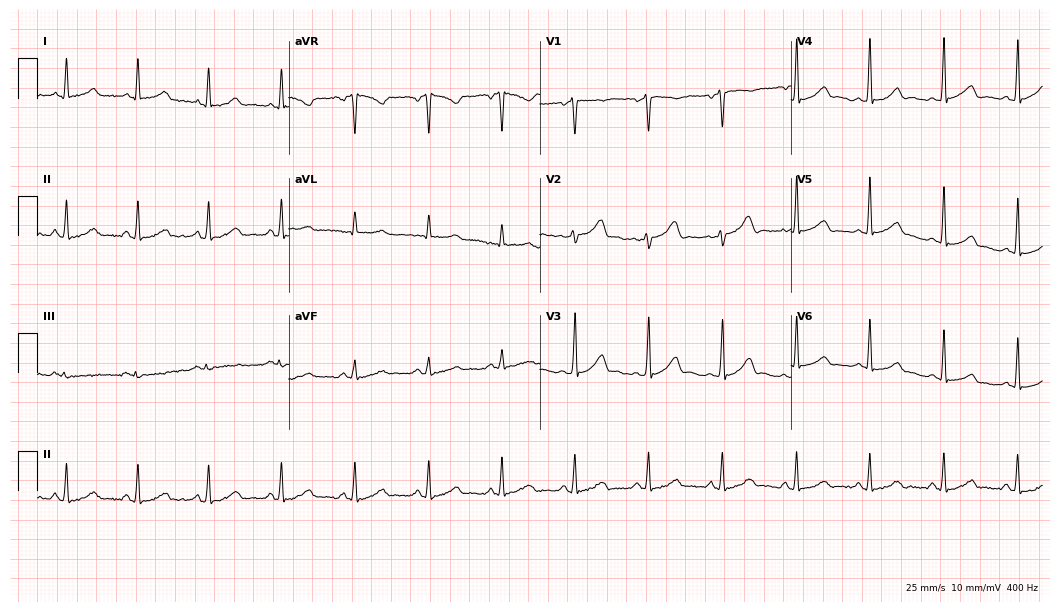
Resting 12-lead electrocardiogram (10.2-second recording at 400 Hz). Patient: a female, 38 years old. Read as a normal ECG.